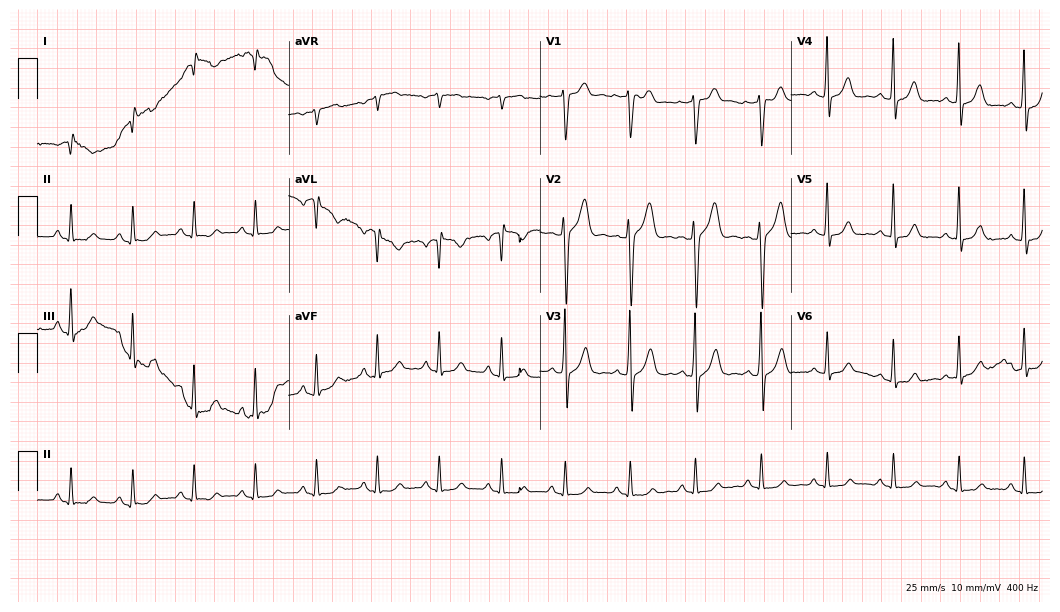
Resting 12-lead electrocardiogram (10.2-second recording at 400 Hz). Patient: a 48-year-old man. None of these six findings is recorded: first-degree AV block, right bundle branch block, left bundle branch block, sinus bradycardia, atrial fibrillation, sinus tachycardia. Findings outside these six are not listed.